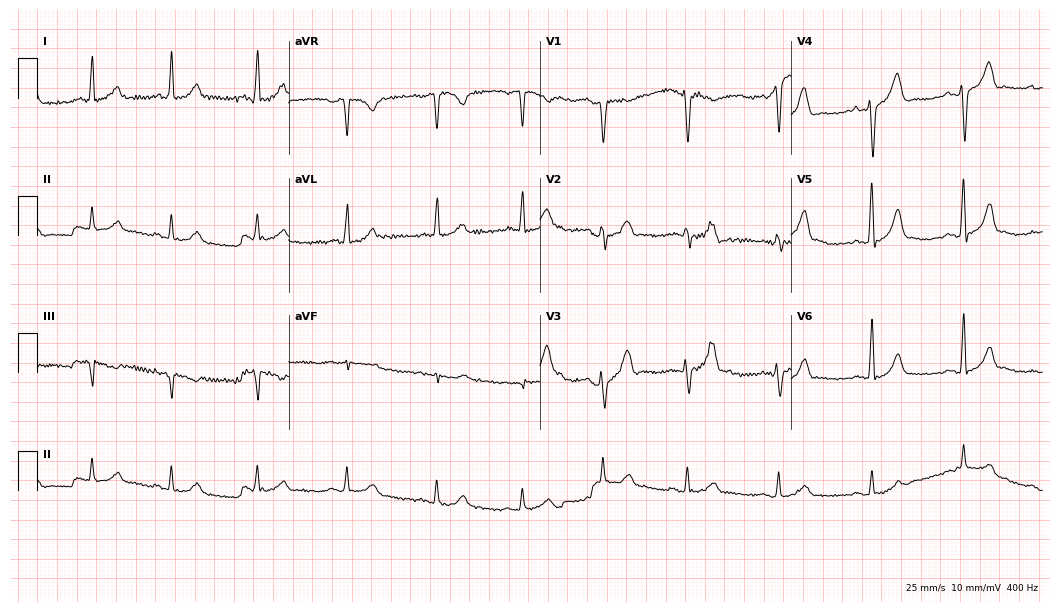
12-lead ECG (10.2-second recording at 400 Hz) from a male, 49 years old. Screened for six findings — first-degree AV block, right bundle branch block, left bundle branch block, sinus bradycardia, atrial fibrillation, sinus tachycardia — none is recorded. Only these six findings were labelled.